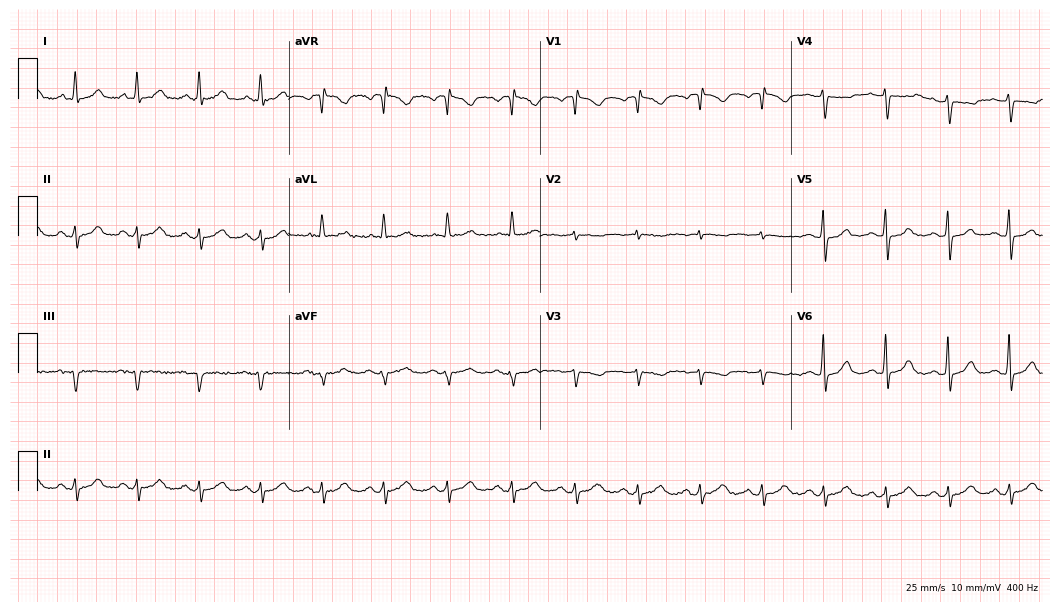
Resting 12-lead electrocardiogram. Patient: a 67-year-old female. None of these six findings is recorded: first-degree AV block, right bundle branch block, left bundle branch block, sinus bradycardia, atrial fibrillation, sinus tachycardia.